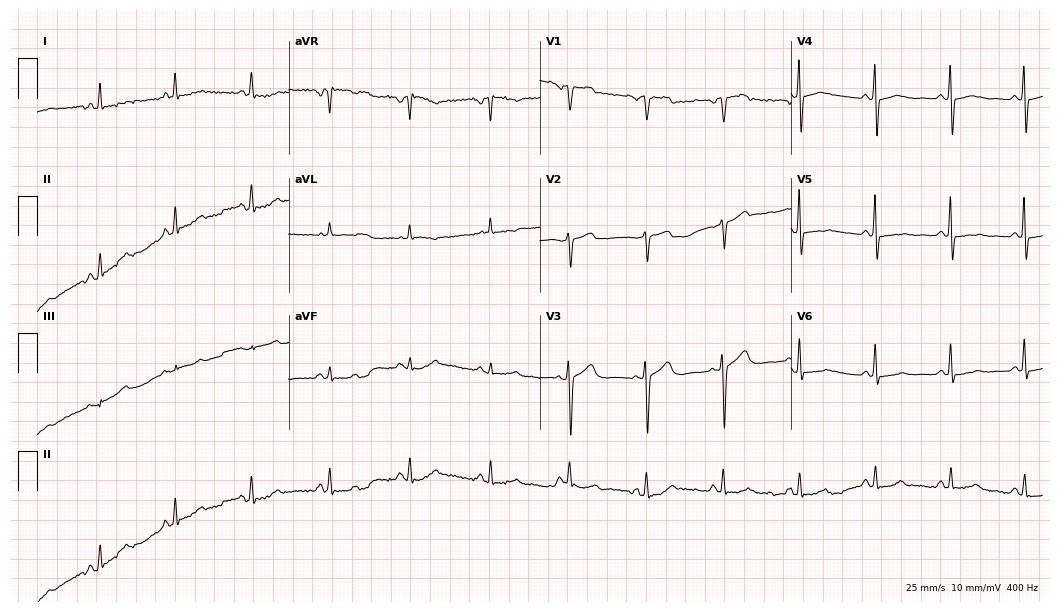
12-lead ECG from a 70-year-old woman (10.2-second recording at 400 Hz). No first-degree AV block, right bundle branch block (RBBB), left bundle branch block (LBBB), sinus bradycardia, atrial fibrillation (AF) or sinus tachycardia recorded for this tracing. Other findings, if any, are not listed.